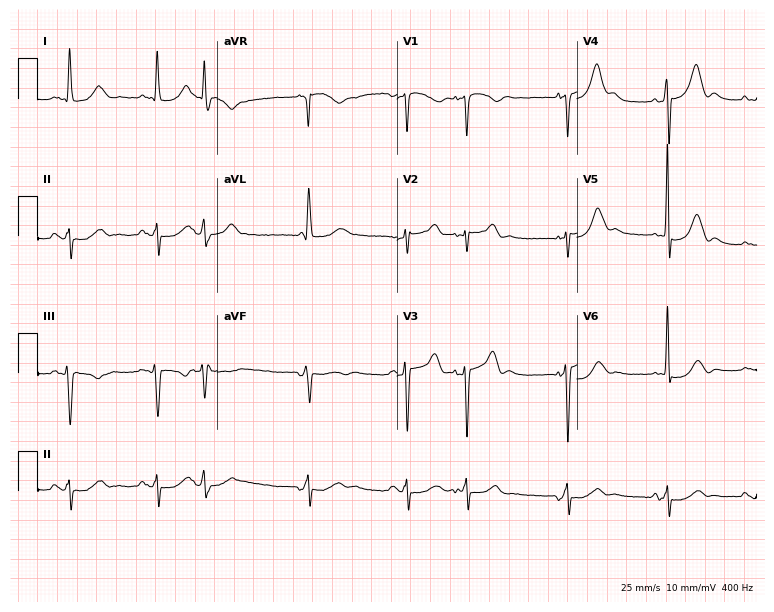
Standard 12-lead ECG recorded from a female patient, 71 years old (7.3-second recording at 400 Hz). None of these six findings is recorded: first-degree AV block, right bundle branch block (RBBB), left bundle branch block (LBBB), sinus bradycardia, atrial fibrillation (AF), sinus tachycardia.